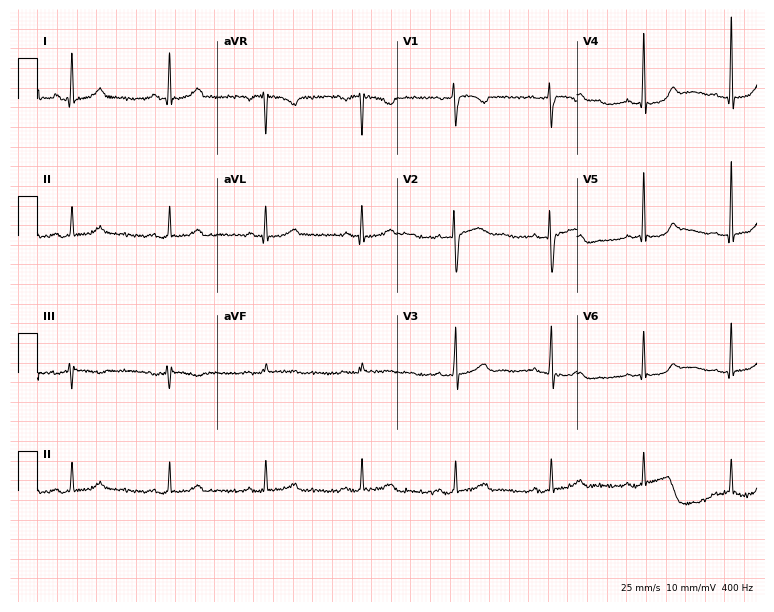
ECG (7.3-second recording at 400 Hz) — a 45-year-old female patient. Screened for six findings — first-degree AV block, right bundle branch block, left bundle branch block, sinus bradycardia, atrial fibrillation, sinus tachycardia — none is recorded.